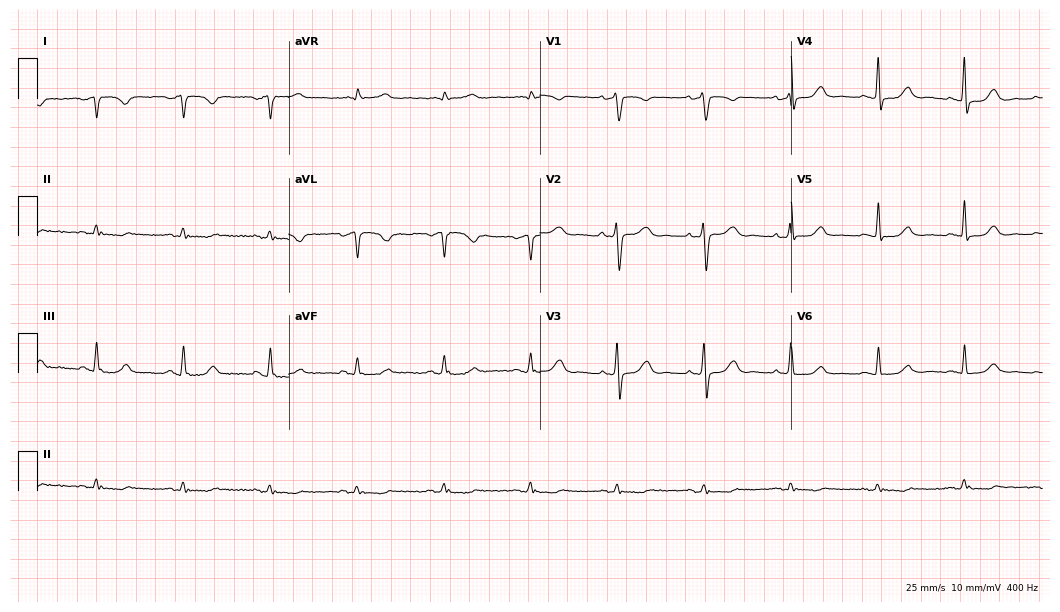
Resting 12-lead electrocardiogram. Patient: a female, 71 years old. None of these six findings is recorded: first-degree AV block, right bundle branch block, left bundle branch block, sinus bradycardia, atrial fibrillation, sinus tachycardia.